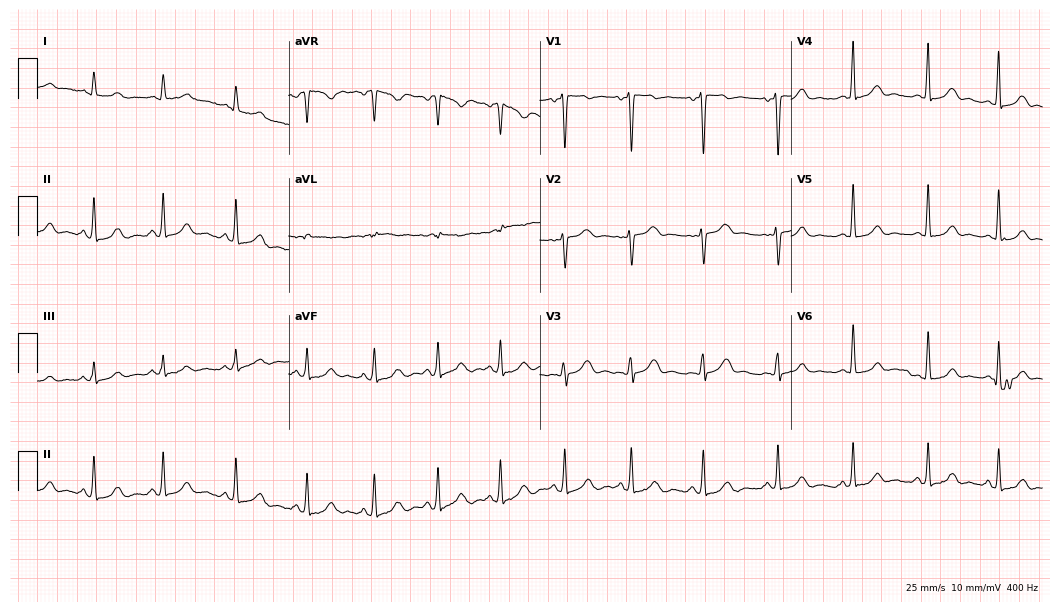
Electrocardiogram, a 35-year-old female. Of the six screened findings (first-degree AV block, right bundle branch block (RBBB), left bundle branch block (LBBB), sinus bradycardia, atrial fibrillation (AF), sinus tachycardia), none is recorded. Only these six findings were labelled.